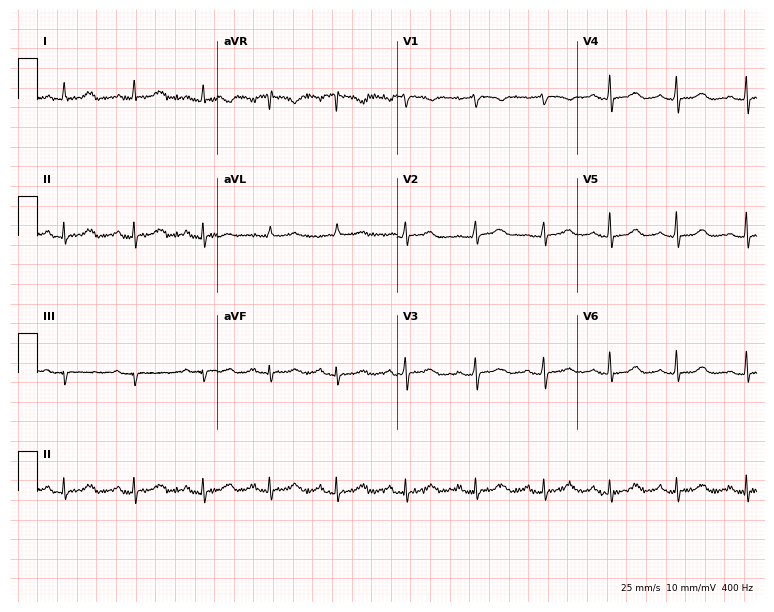
12-lead ECG from a 36-year-old woman. Recorded interpretation: within normal limits.